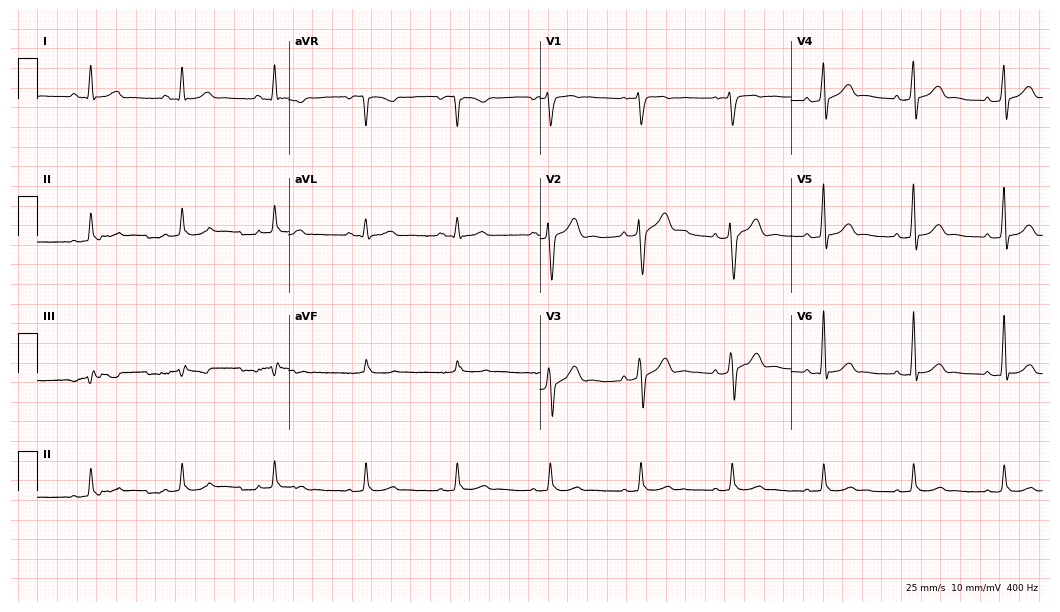
12-lead ECG from a male, 43 years old. Labelled as a normal ECG.